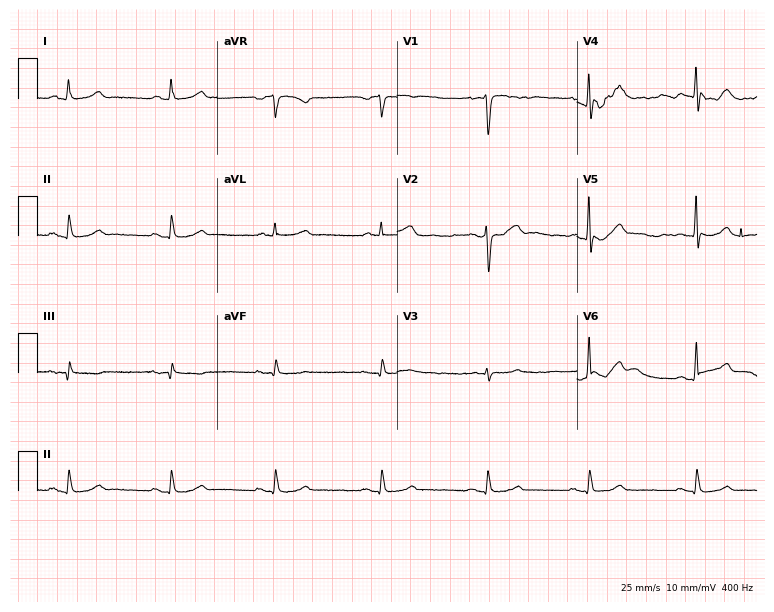
Resting 12-lead electrocardiogram. Patient: a 57-year-old man. Read as a normal ECG.